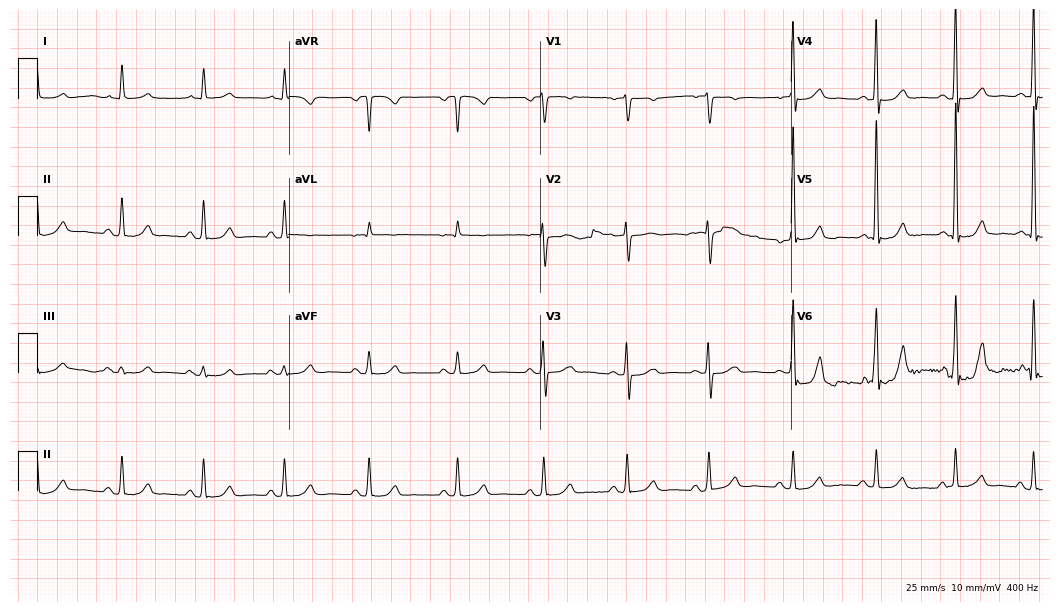
Electrocardiogram (10.2-second recording at 400 Hz), a female, 71 years old. Overall reading on record: normal ECG.